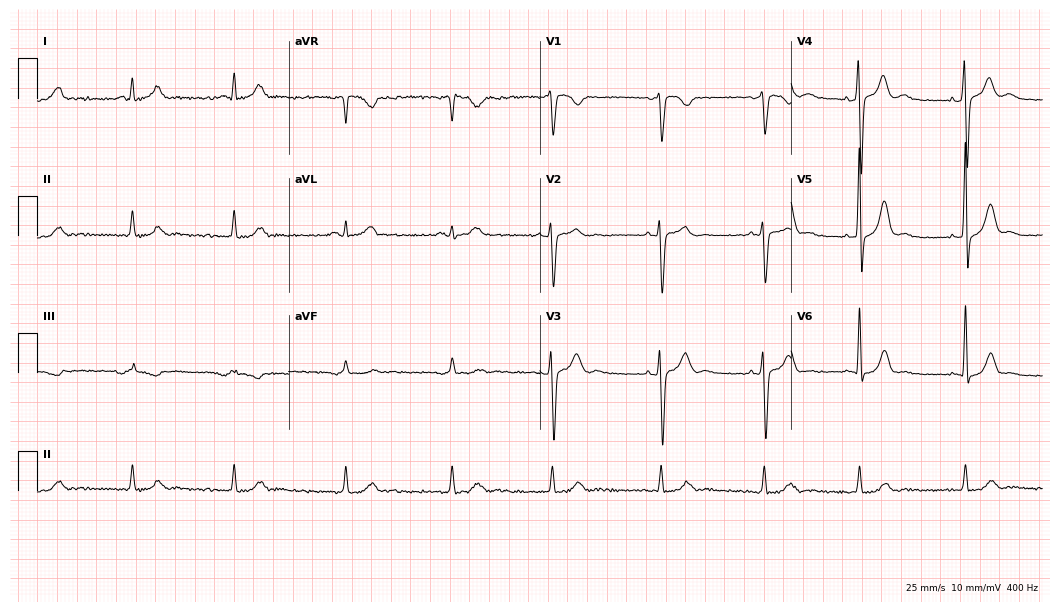
Standard 12-lead ECG recorded from a 31-year-old male patient. None of these six findings is recorded: first-degree AV block, right bundle branch block, left bundle branch block, sinus bradycardia, atrial fibrillation, sinus tachycardia. Other findings, if any, are not listed.